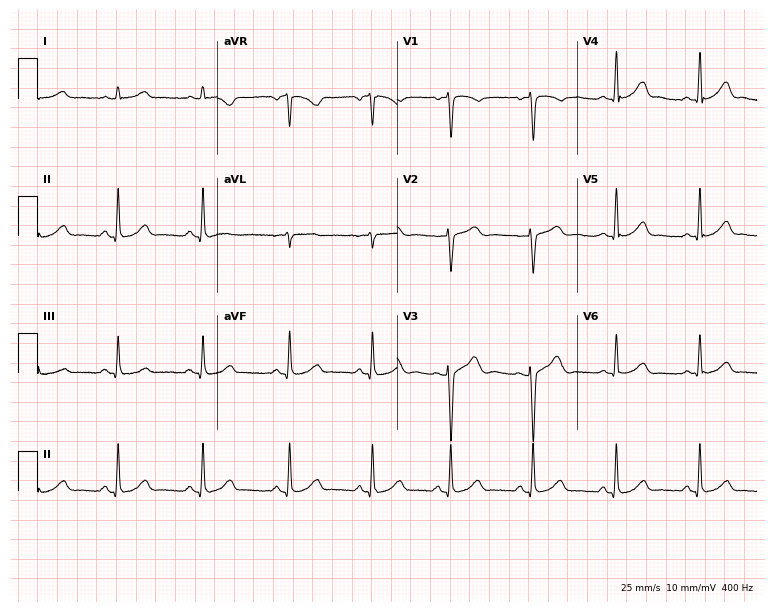
Standard 12-lead ECG recorded from a 40-year-old woman (7.3-second recording at 400 Hz). Read as a normal ECG.